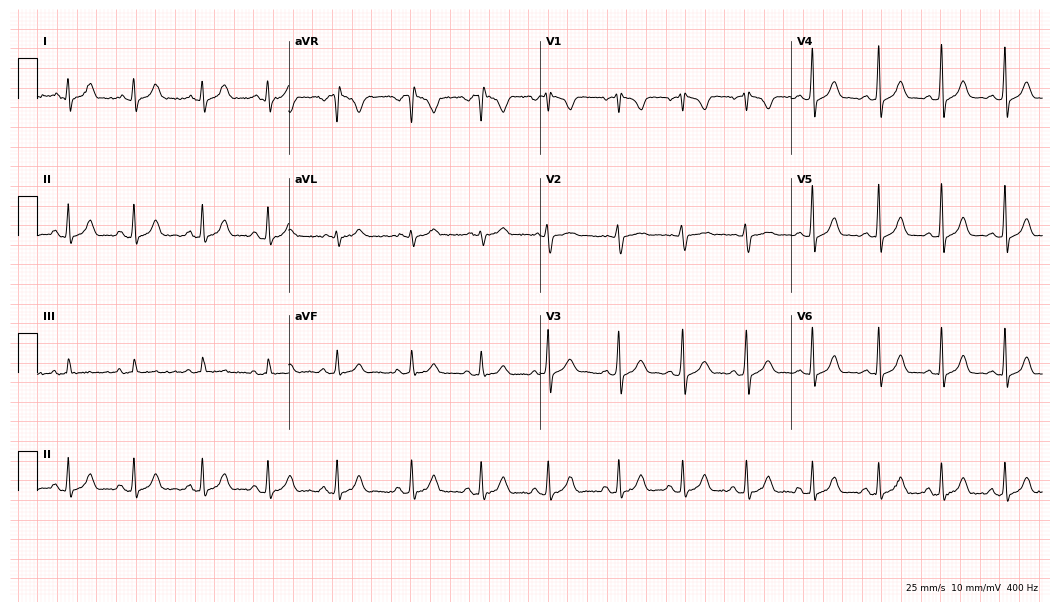
Resting 12-lead electrocardiogram. Patient: a female, 19 years old. None of these six findings is recorded: first-degree AV block, right bundle branch block (RBBB), left bundle branch block (LBBB), sinus bradycardia, atrial fibrillation (AF), sinus tachycardia.